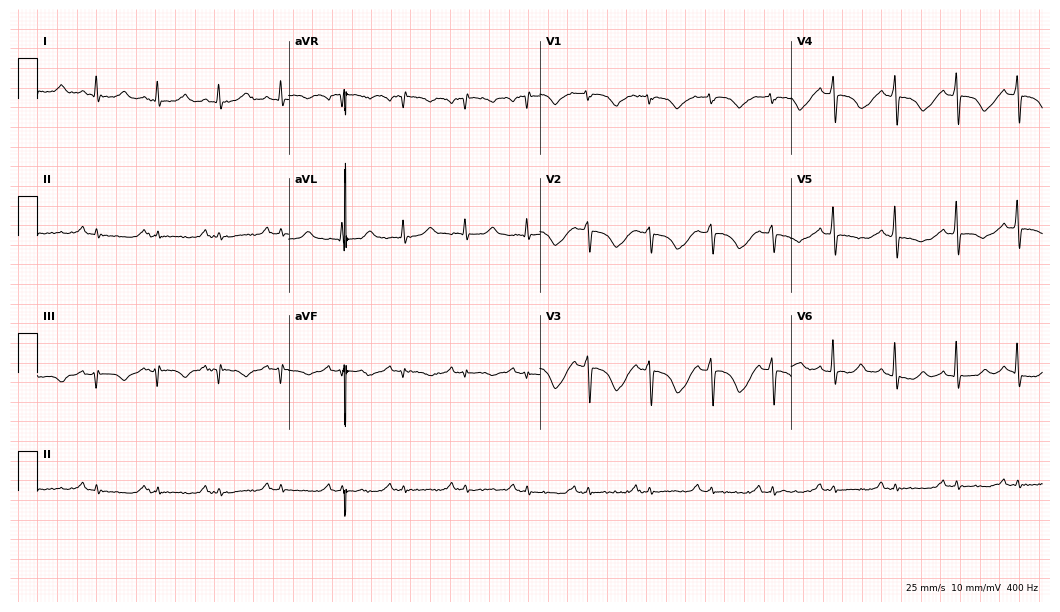
12-lead ECG from a woman, 82 years old (10.2-second recording at 400 Hz). No first-degree AV block, right bundle branch block, left bundle branch block, sinus bradycardia, atrial fibrillation or sinus tachycardia recorded for this tracing. Only these six findings were labelled.